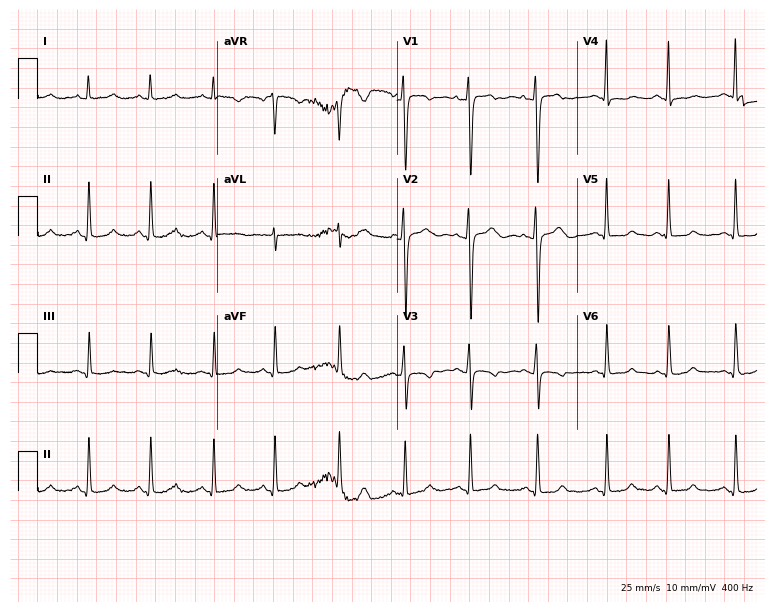
ECG — a 34-year-old woman. Screened for six findings — first-degree AV block, right bundle branch block, left bundle branch block, sinus bradycardia, atrial fibrillation, sinus tachycardia — none is recorded. Findings outside these six are not listed.